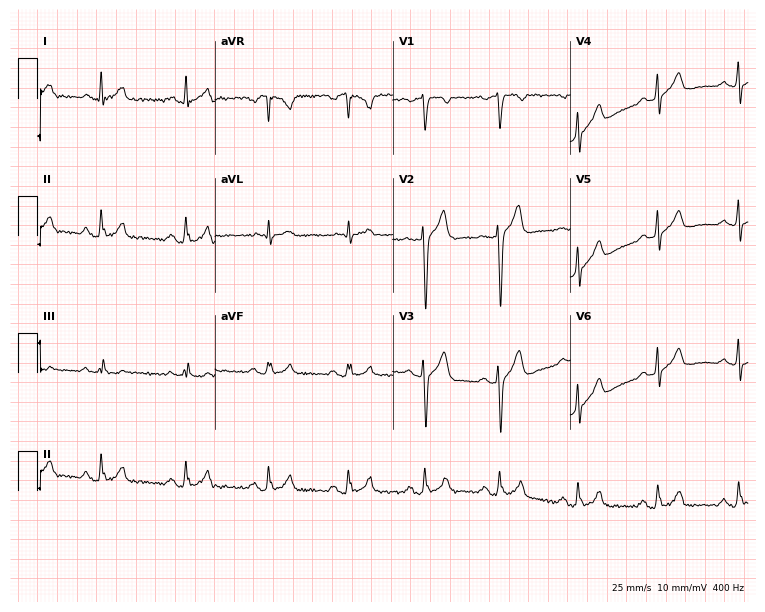
12-lead ECG from a 30-year-old male. Recorded interpretation: within normal limits.